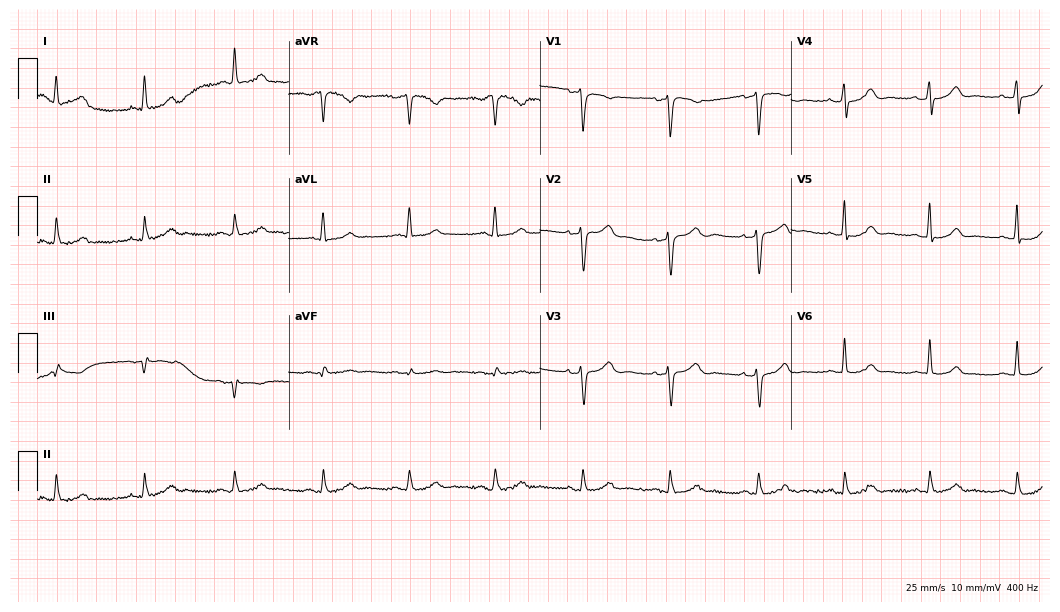
Standard 12-lead ECG recorded from a 64-year-old female patient (10.2-second recording at 400 Hz). Read as a normal ECG.